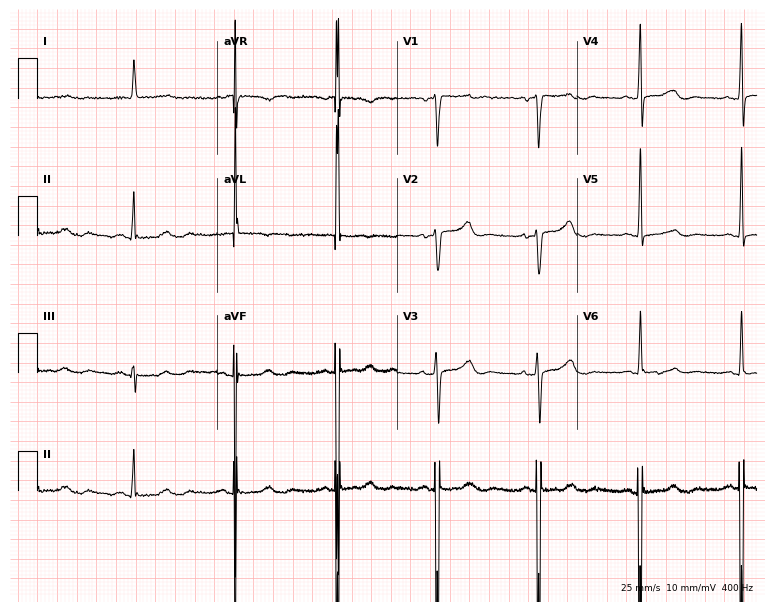
ECG (7.3-second recording at 400 Hz) — a woman, 79 years old. Screened for six findings — first-degree AV block, right bundle branch block, left bundle branch block, sinus bradycardia, atrial fibrillation, sinus tachycardia — none is recorded. Findings outside these six are not listed.